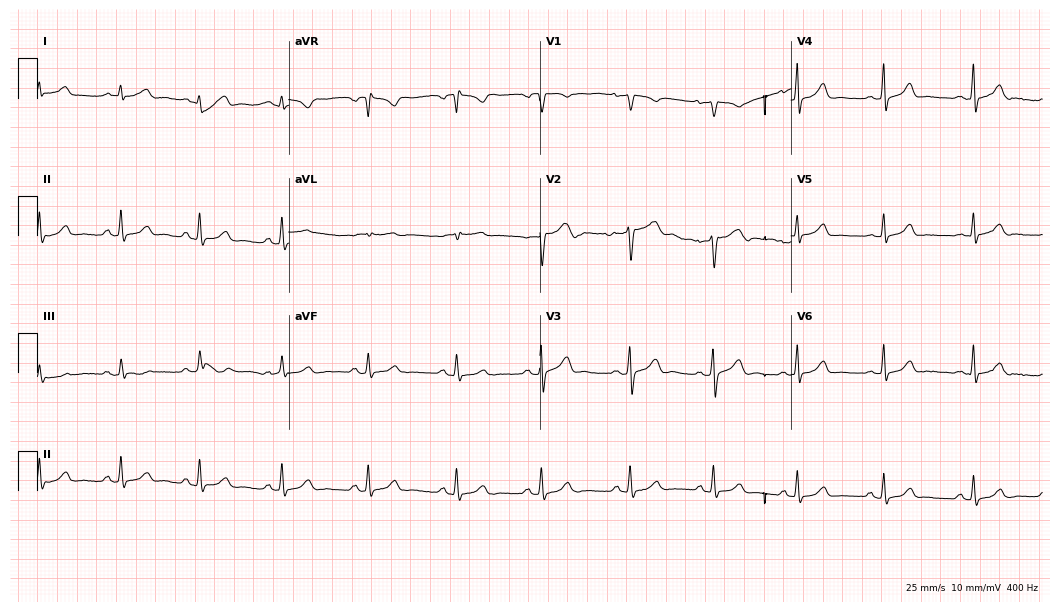
ECG — a 43-year-old female patient. Screened for six findings — first-degree AV block, right bundle branch block (RBBB), left bundle branch block (LBBB), sinus bradycardia, atrial fibrillation (AF), sinus tachycardia — none is recorded.